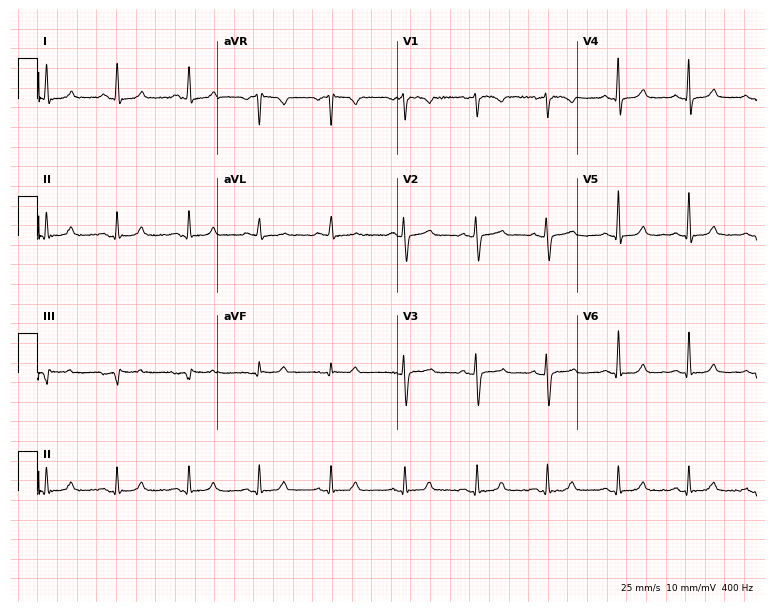
Standard 12-lead ECG recorded from a 53-year-old woman (7.3-second recording at 400 Hz). None of these six findings is recorded: first-degree AV block, right bundle branch block, left bundle branch block, sinus bradycardia, atrial fibrillation, sinus tachycardia.